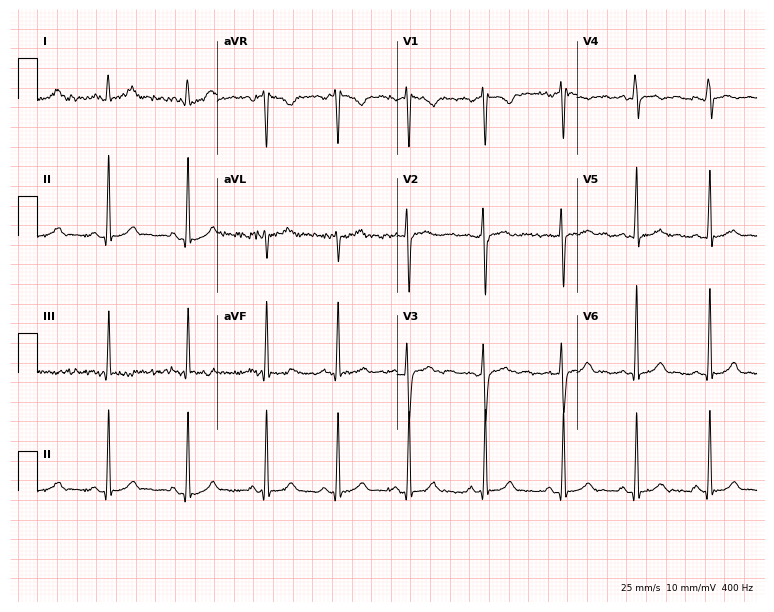
12-lead ECG from a female patient, 31 years old. Labelled as a normal ECG.